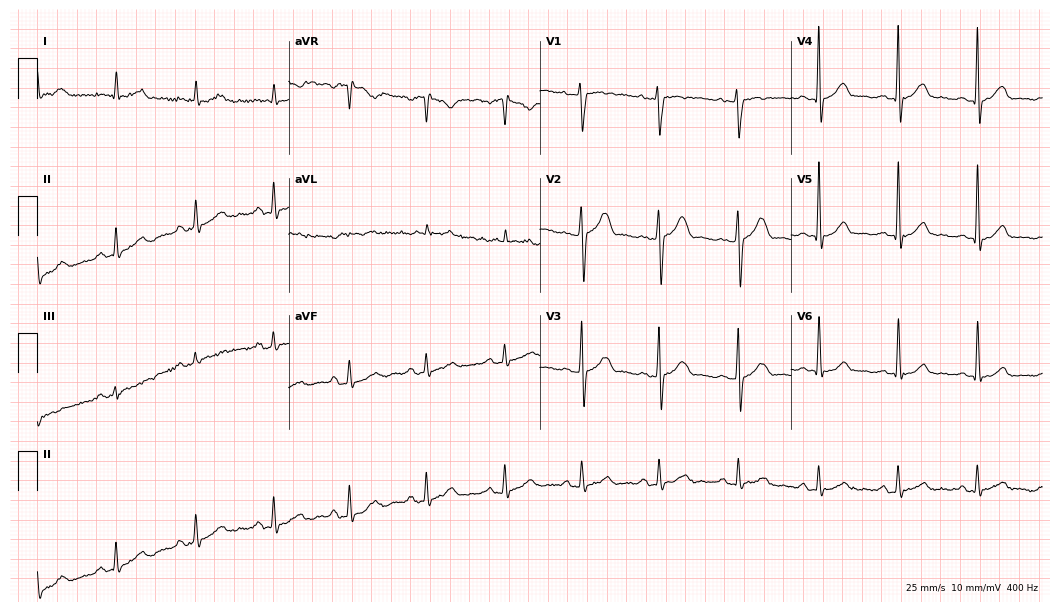
Electrocardiogram (10.2-second recording at 400 Hz), a 55-year-old male. Of the six screened findings (first-degree AV block, right bundle branch block, left bundle branch block, sinus bradycardia, atrial fibrillation, sinus tachycardia), none is recorded. Other findings, if any, are not listed.